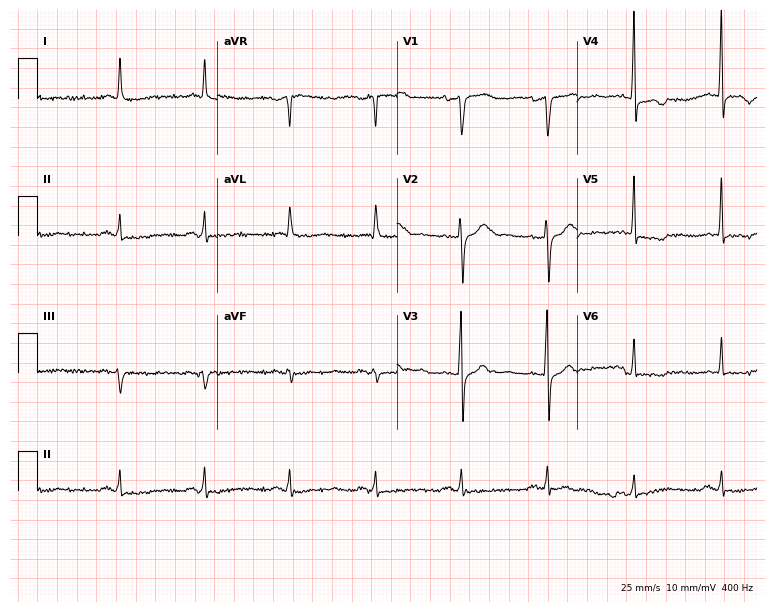
Electrocardiogram (7.3-second recording at 400 Hz), an 85-year-old male. Of the six screened findings (first-degree AV block, right bundle branch block, left bundle branch block, sinus bradycardia, atrial fibrillation, sinus tachycardia), none is recorded.